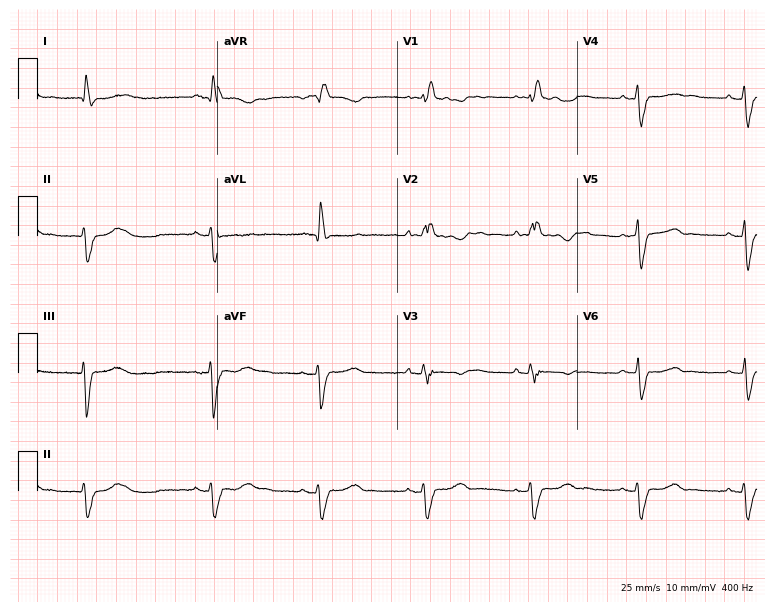
12-lead ECG from a woman, 72 years old. Findings include right bundle branch block.